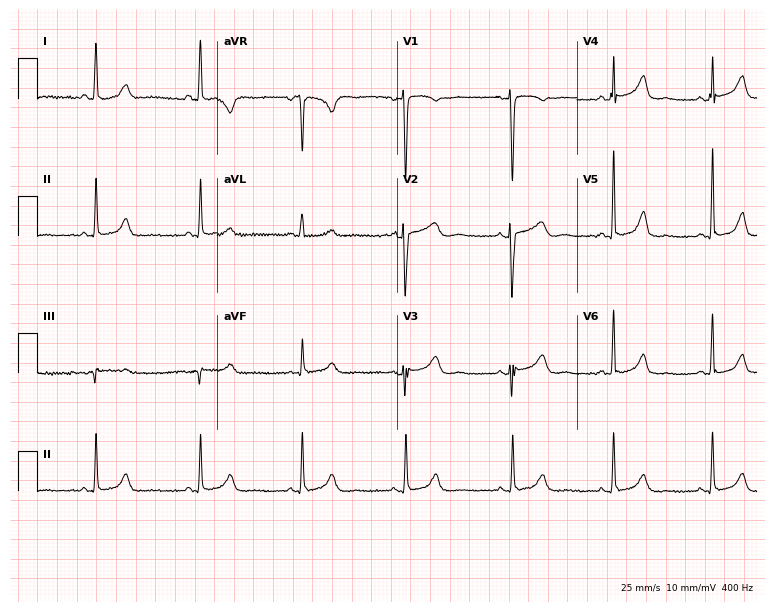
Resting 12-lead electrocardiogram. Patient: a 43-year-old female. None of these six findings is recorded: first-degree AV block, right bundle branch block, left bundle branch block, sinus bradycardia, atrial fibrillation, sinus tachycardia. Other findings, if any, are not listed.